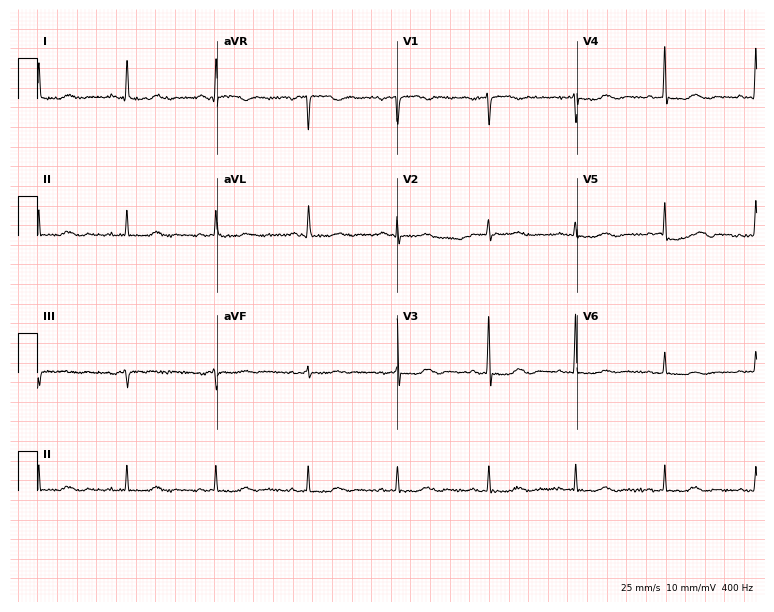
12-lead ECG from a 75-year-old woman. Screened for six findings — first-degree AV block, right bundle branch block (RBBB), left bundle branch block (LBBB), sinus bradycardia, atrial fibrillation (AF), sinus tachycardia — none is recorded.